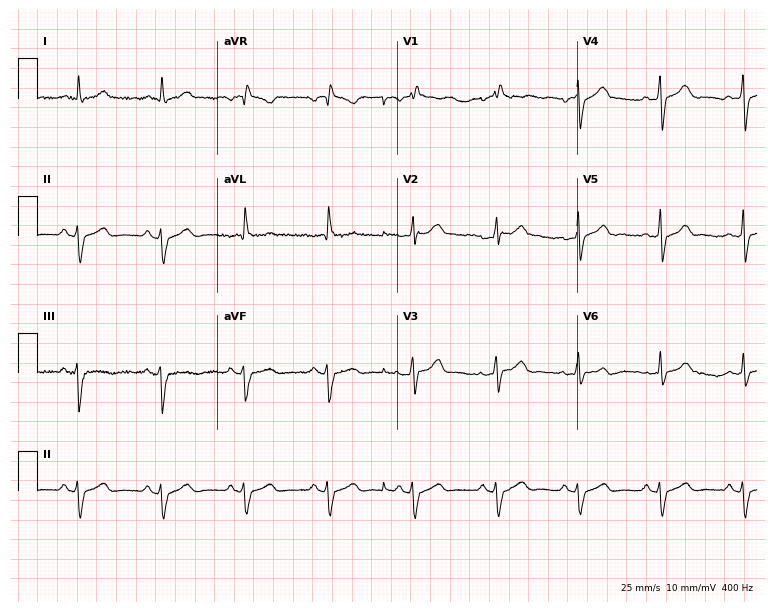
ECG — a male patient, 44 years old. Screened for six findings — first-degree AV block, right bundle branch block, left bundle branch block, sinus bradycardia, atrial fibrillation, sinus tachycardia — none is recorded. Findings outside these six are not listed.